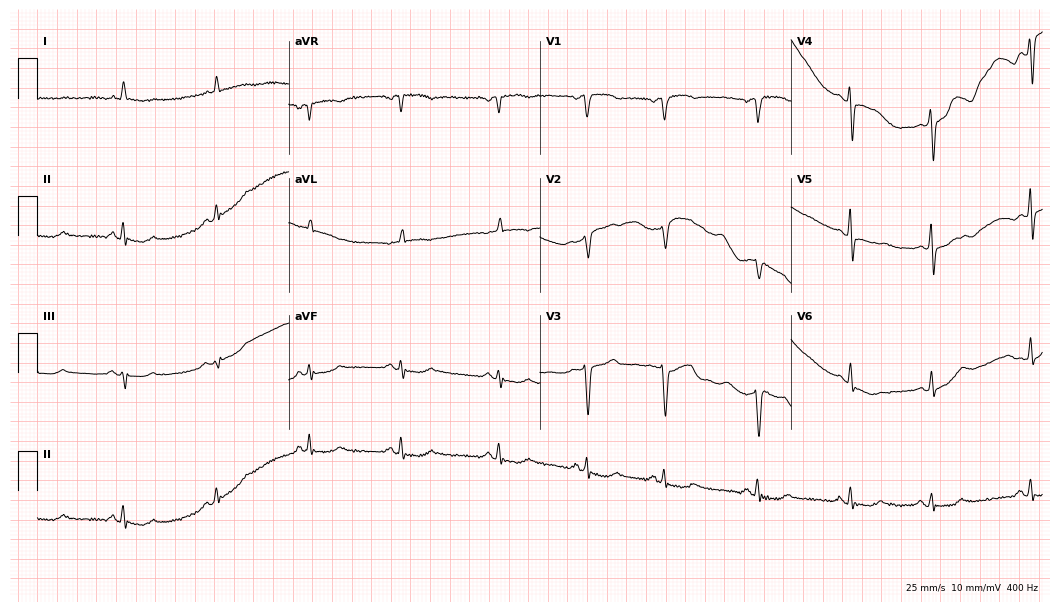
ECG — a woman, 75 years old. Screened for six findings — first-degree AV block, right bundle branch block (RBBB), left bundle branch block (LBBB), sinus bradycardia, atrial fibrillation (AF), sinus tachycardia — none is recorded. Findings outside these six are not listed.